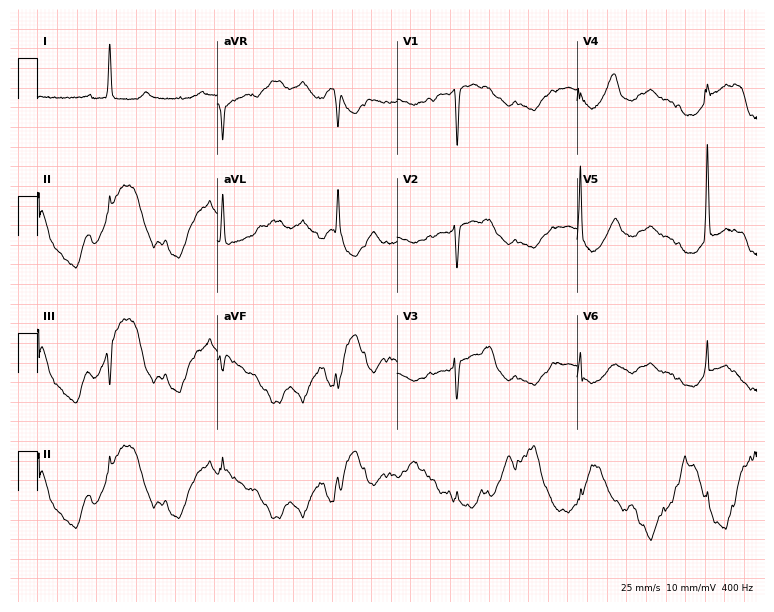
12-lead ECG from an 83-year-old male. Screened for six findings — first-degree AV block, right bundle branch block, left bundle branch block, sinus bradycardia, atrial fibrillation, sinus tachycardia — none is recorded.